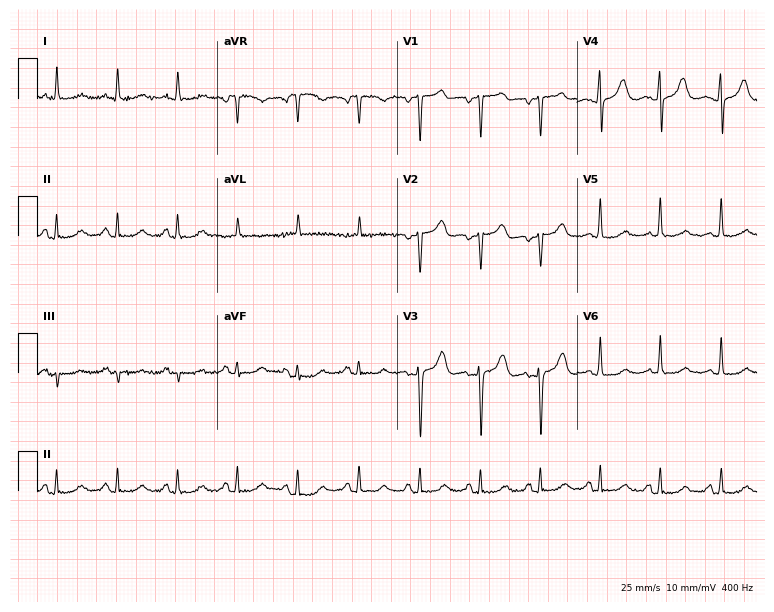
Electrocardiogram (7.3-second recording at 400 Hz), a female, 75 years old. Of the six screened findings (first-degree AV block, right bundle branch block, left bundle branch block, sinus bradycardia, atrial fibrillation, sinus tachycardia), none is recorded. Findings outside these six are not listed.